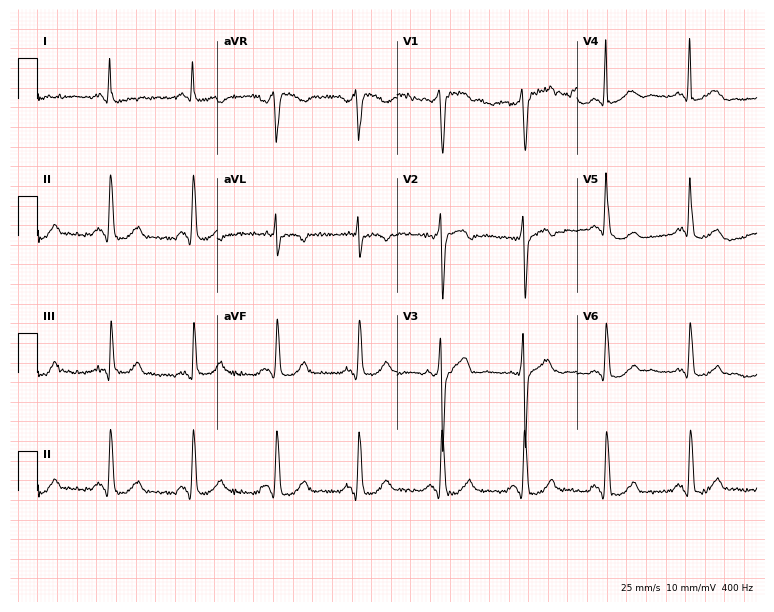
Electrocardiogram, a male patient, 56 years old. Of the six screened findings (first-degree AV block, right bundle branch block (RBBB), left bundle branch block (LBBB), sinus bradycardia, atrial fibrillation (AF), sinus tachycardia), none is recorded. Other findings, if any, are not listed.